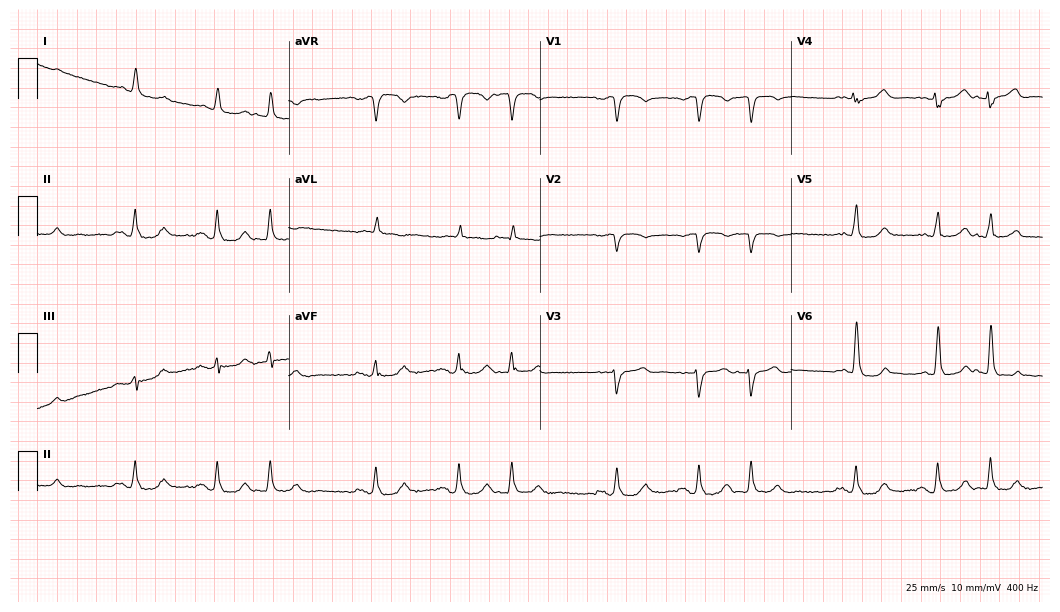
Electrocardiogram (10.2-second recording at 400 Hz), a male, 73 years old. Of the six screened findings (first-degree AV block, right bundle branch block, left bundle branch block, sinus bradycardia, atrial fibrillation, sinus tachycardia), none is recorded. Other findings, if any, are not listed.